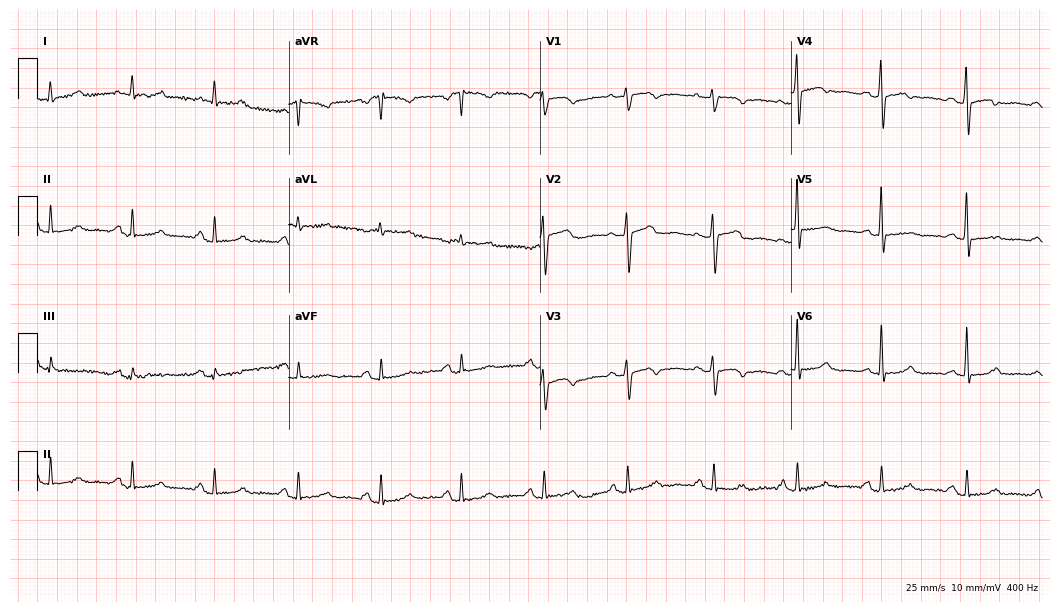
Standard 12-lead ECG recorded from a 66-year-old female patient. None of these six findings is recorded: first-degree AV block, right bundle branch block, left bundle branch block, sinus bradycardia, atrial fibrillation, sinus tachycardia.